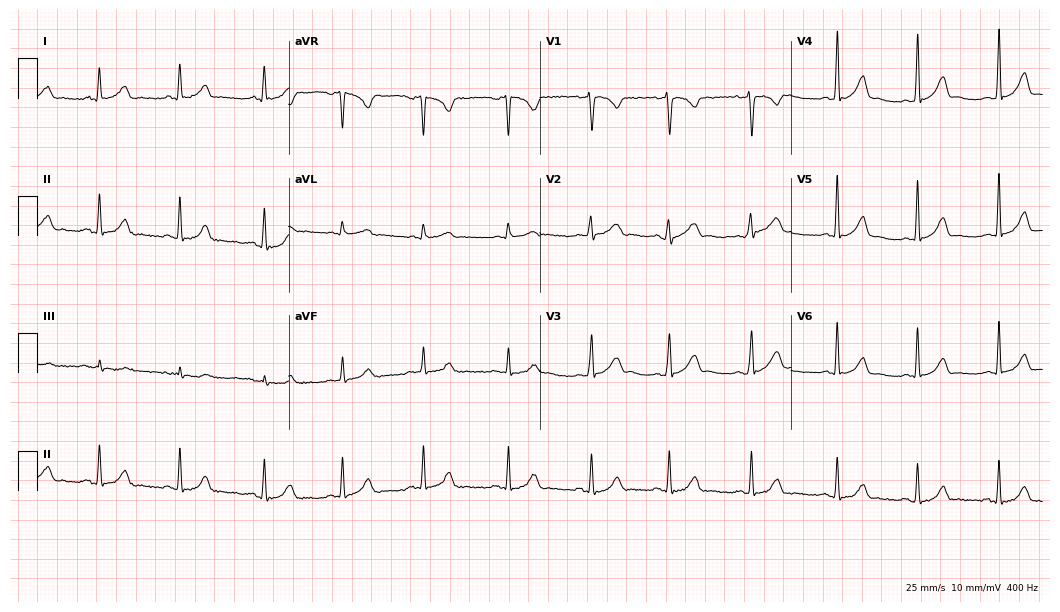
ECG — a 35-year-old female. Labelled as a normal ECG.